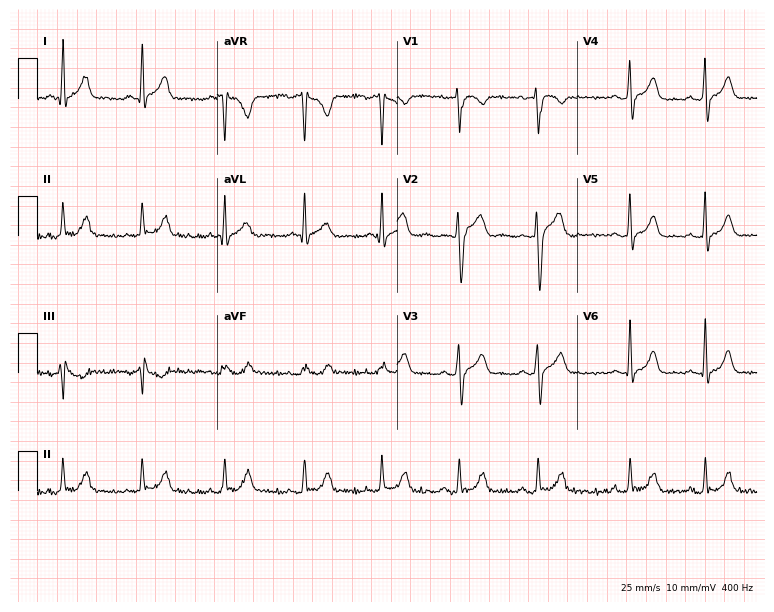
12-lead ECG from a male, 32 years old. Screened for six findings — first-degree AV block, right bundle branch block, left bundle branch block, sinus bradycardia, atrial fibrillation, sinus tachycardia — none is recorded.